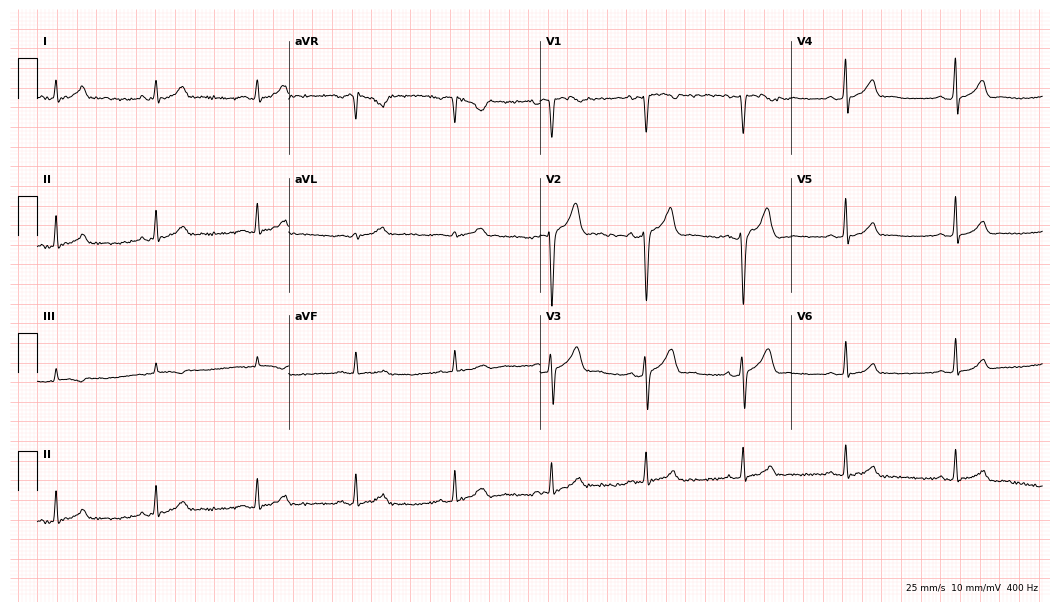
12-lead ECG from a 67-year-old male patient. Labelled as a normal ECG.